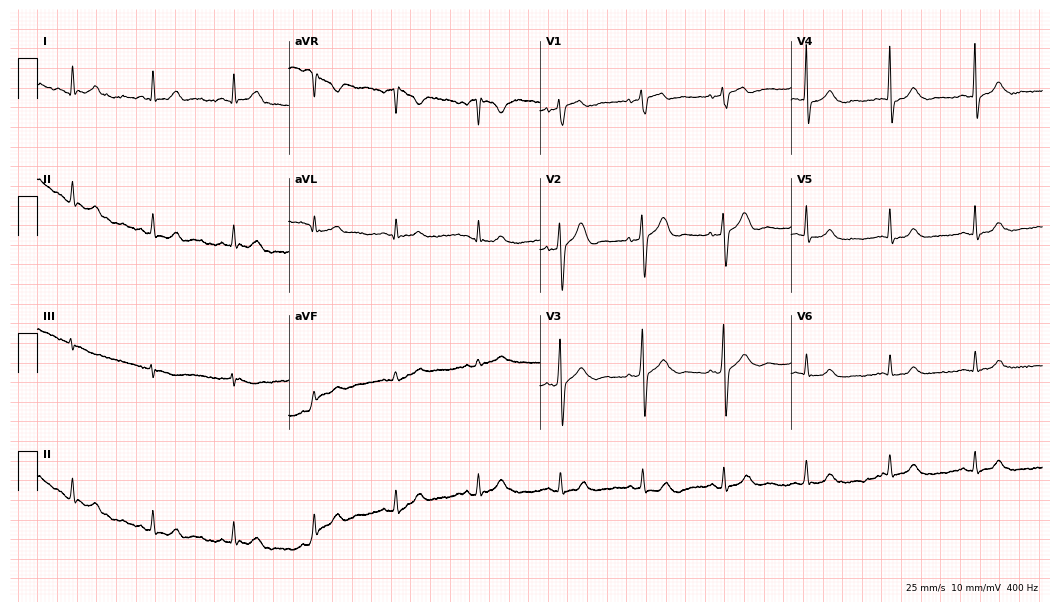
12-lead ECG from a 44-year-old male patient. Recorded interpretation: within normal limits.